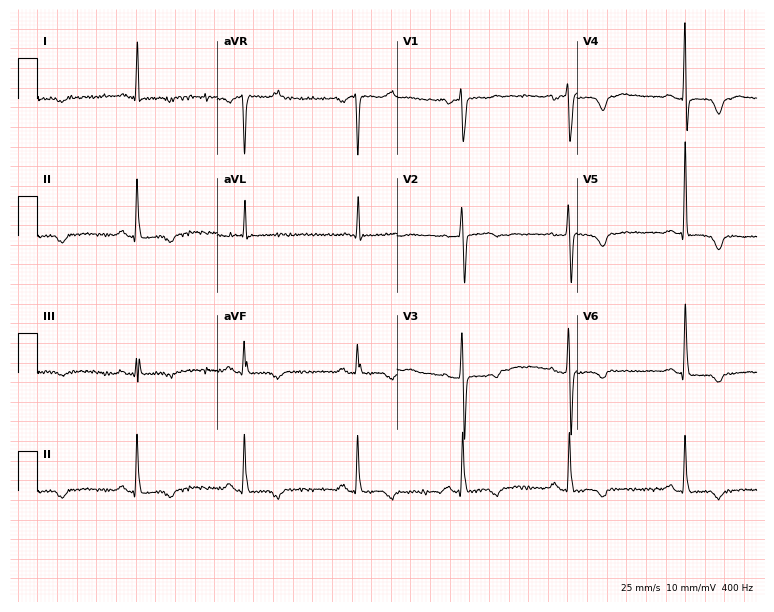
Resting 12-lead electrocardiogram. Patient: a 76-year-old female. None of these six findings is recorded: first-degree AV block, right bundle branch block, left bundle branch block, sinus bradycardia, atrial fibrillation, sinus tachycardia. Other findings, if any, are not listed.